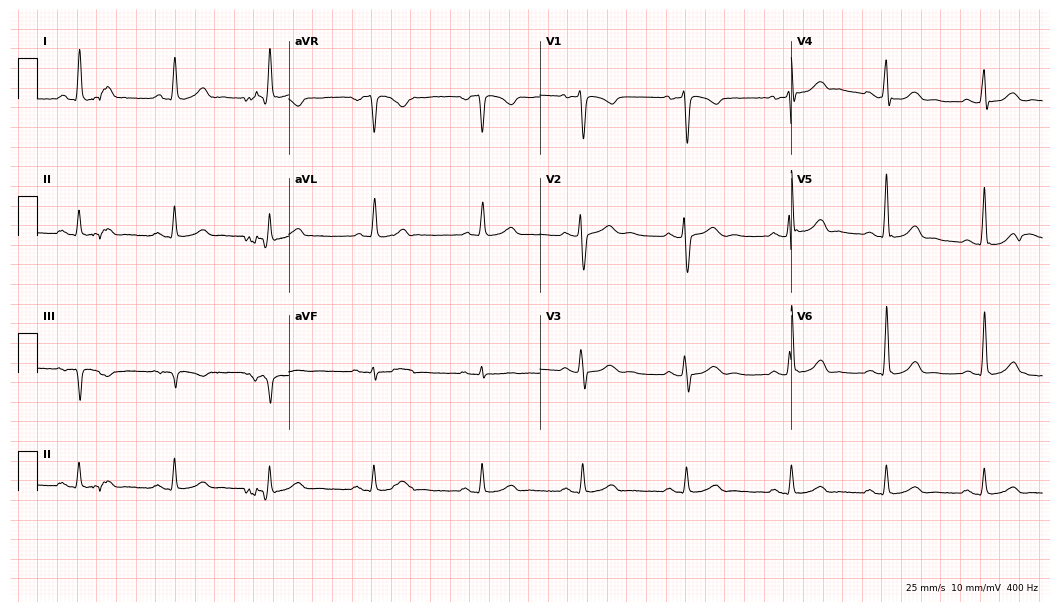
12-lead ECG (10.2-second recording at 400 Hz) from a male, 50 years old. Labelled as a normal ECG.